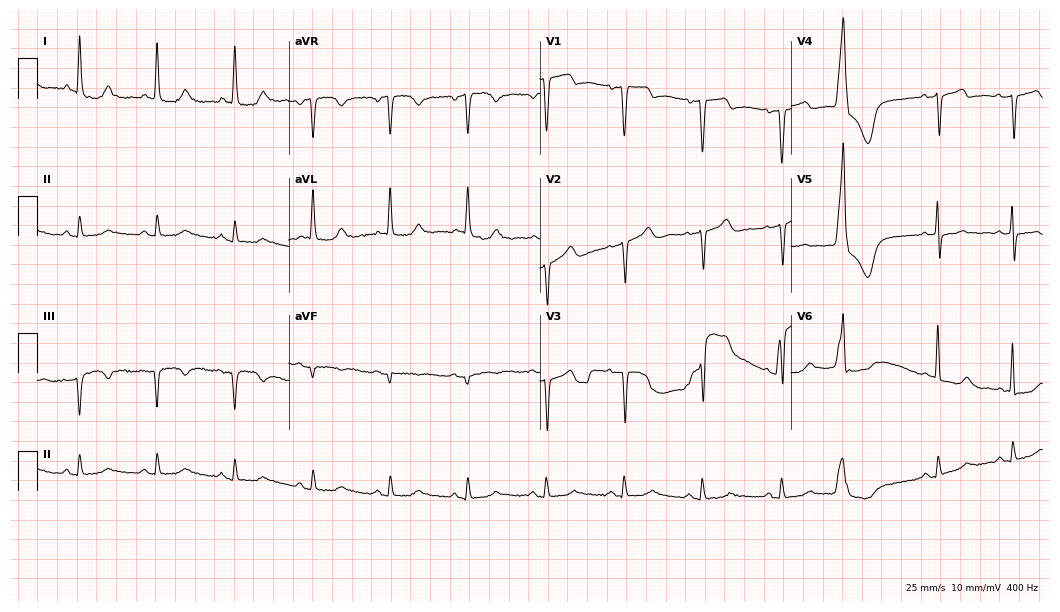
ECG (10.2-second recording at 400 Hz) — a 73-year-old female. Screened for six findings — first-degree AV block, right bundle branch block, left bundle branch block, sinus bradycardia, atrial fibrillation, sinus tachycardia — none is recorded. Only these six findings were labelled.